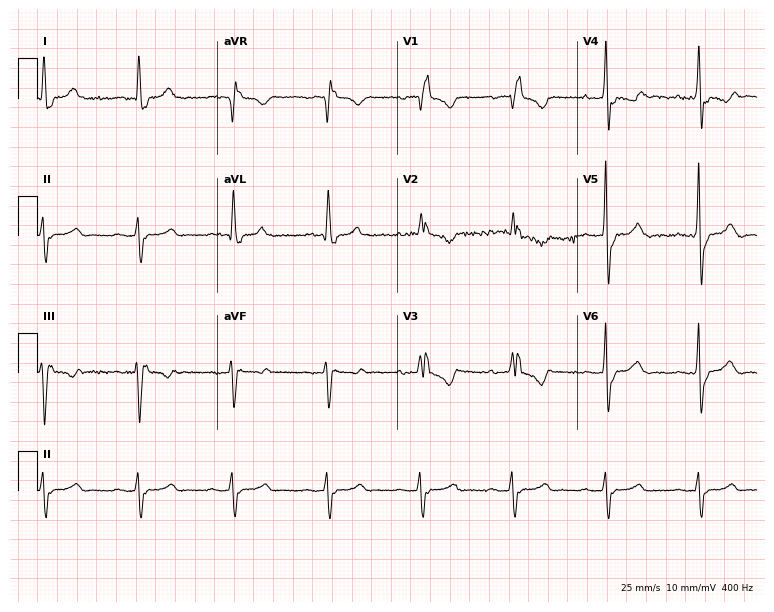
Standard 12-lead ECG recorded from a woman, 72 years old. None of these six findings is recorded: first-degree AV block, right bundle branch block (RBBB), left bundle branch block (LBBB), sinus bradycardia, atrial fibrillation (AF), sinus tachycardia.